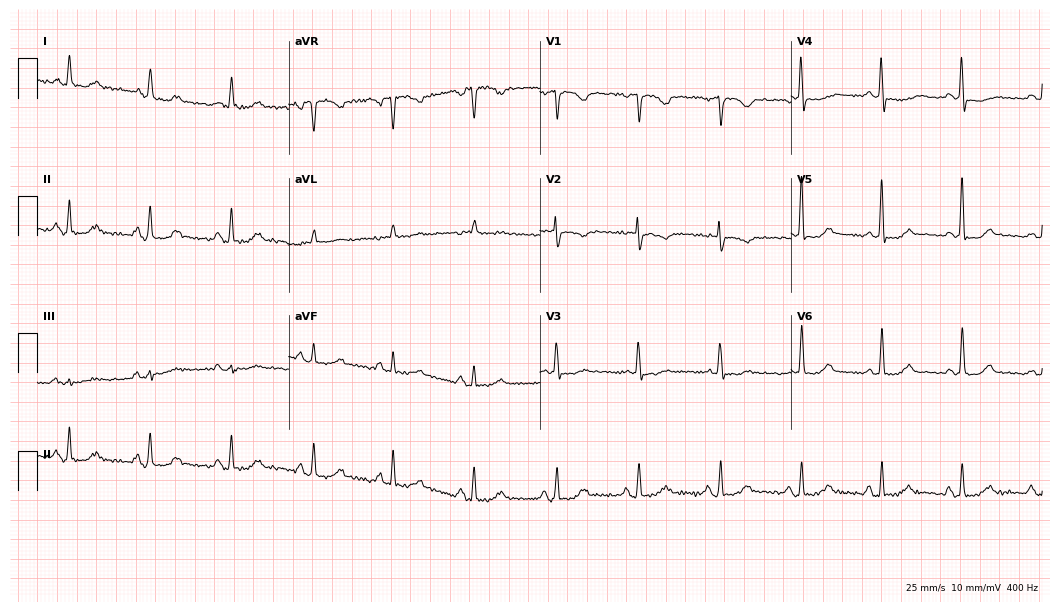
12-lead ECG from a 54-year-old woman. Screened for six findings — first-degree AV block, right bundle branch block, left bundle branch block, sinus bradycardia, atrial fibrillation, sinus tachycardia — none is recorded. Other findings, if any, are not listed.